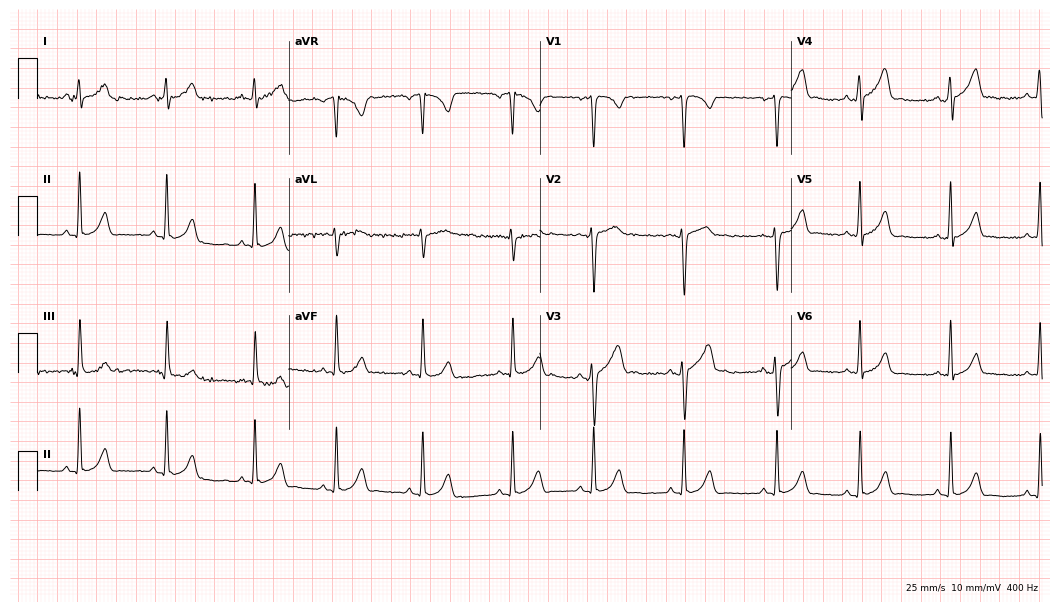
Resting 12-lead electrocardiogram. Patient: a male, 22 years old. Read as a normal ECG.